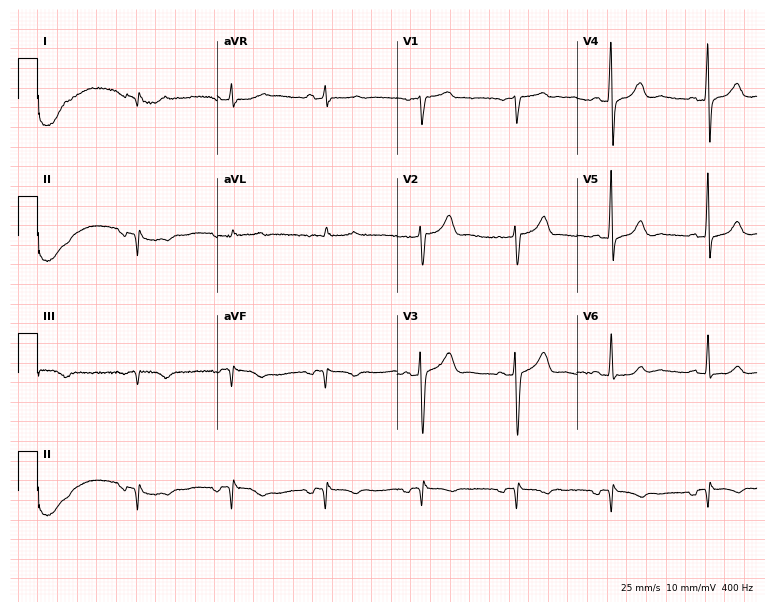
12-lead ECG from a 66-year-old man. Screened for six findings — first-degree AV block, right bundle branch block, left bundle branch block, sinus bradycardia, atrial fibrillation, sinus tachycardia — none is recorded. Other findings, if any, are not listed.